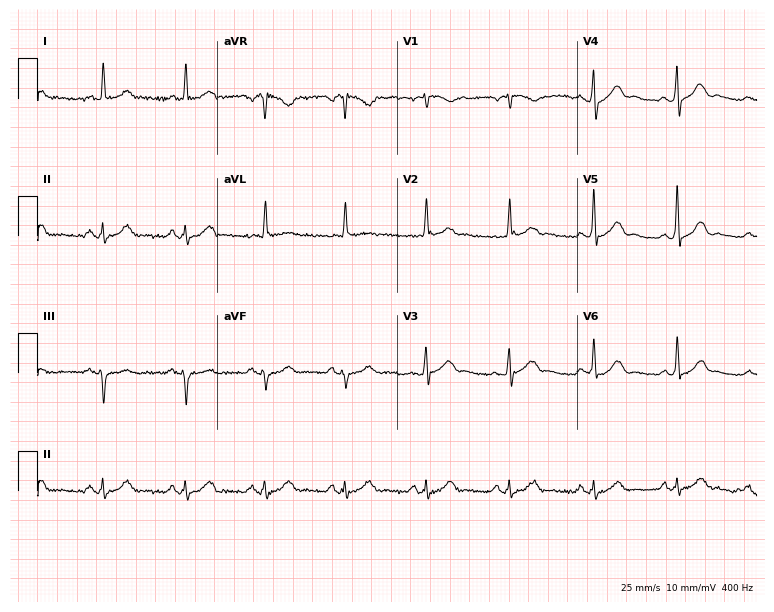
Resting 12-lead electrocardiogram (7.3-second recording at 400 Hz). Patient: a man, 69 years old. Read as a normal ECG.